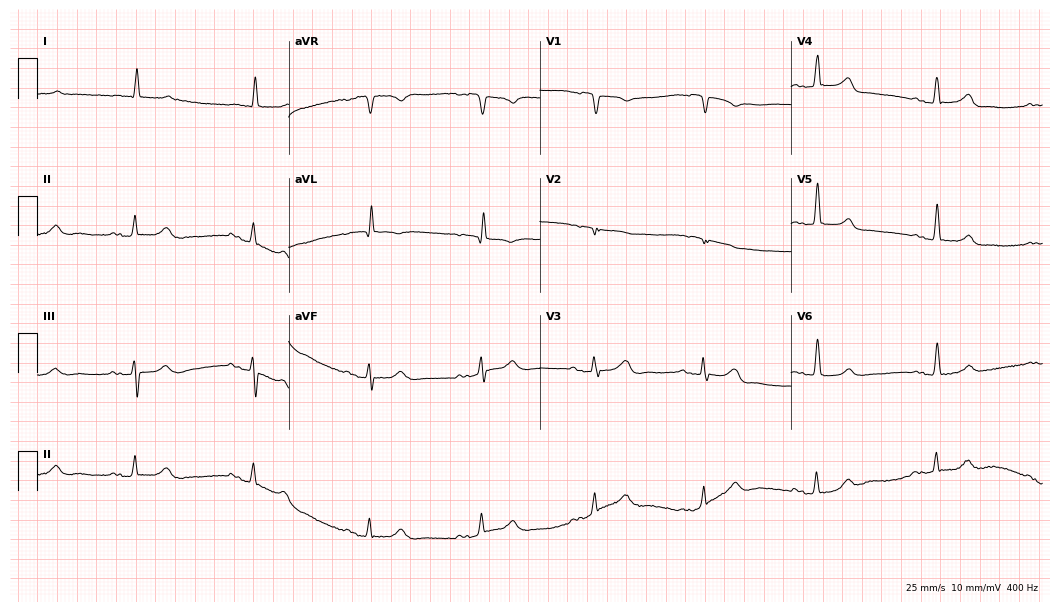
12-lead ECG from a female patient, 84 years old. Findings include first-degree AV block.